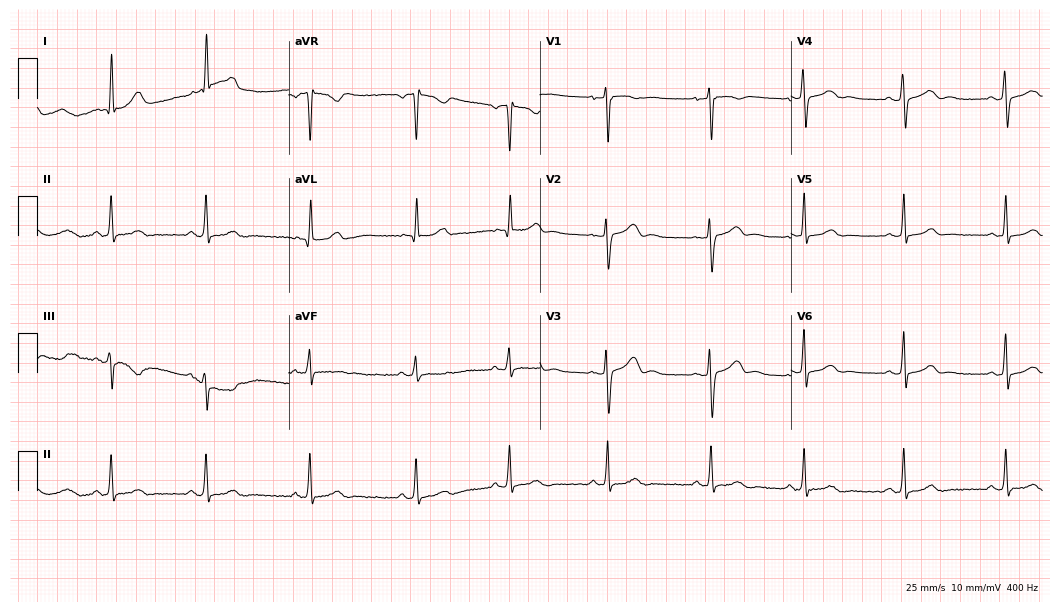
Standard 12-lead ECG recorded from a 35-year-old female patient. Read as a normal ECG.